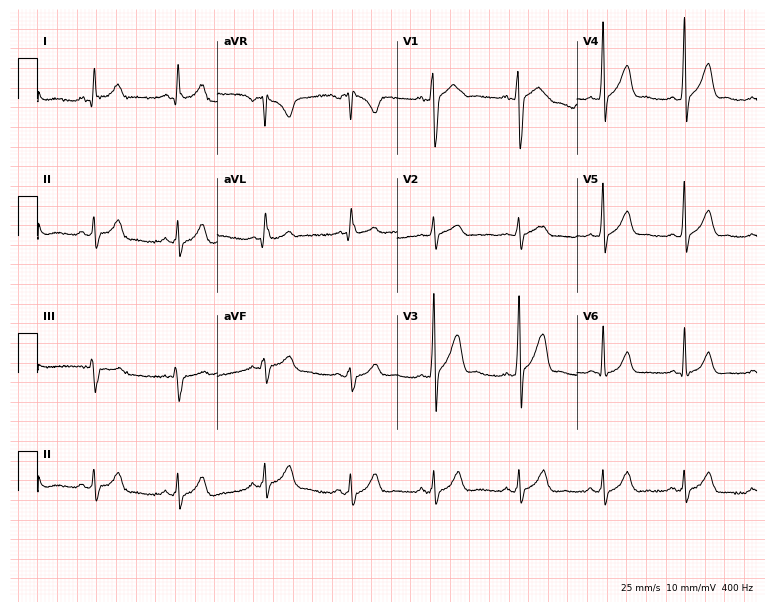
12-lead ECG from a male patient, 23 years old. Labelled as a normal ECG.